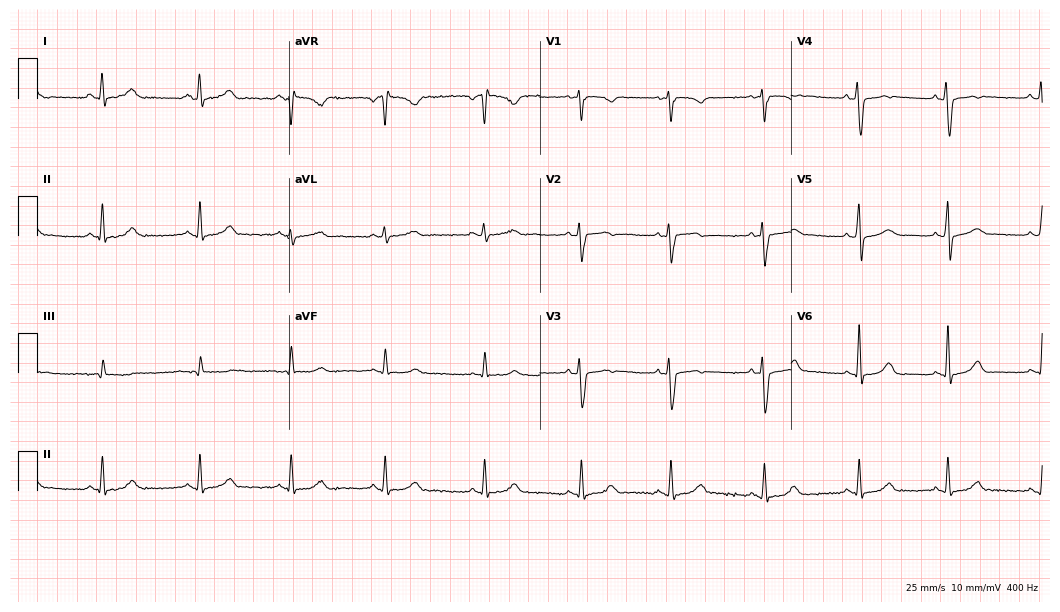
ECG (10.2-second recording at 400 Hz) — a female patient, 32 years old. Screened for six findings — first-degree AV block, right bundle branch block (RBBB), left bundle branch block (LBBB), sinus bradycardia, atrial fibrillation (AF), sinus tachycardia — none is recorded. Only these six findings were labelled.